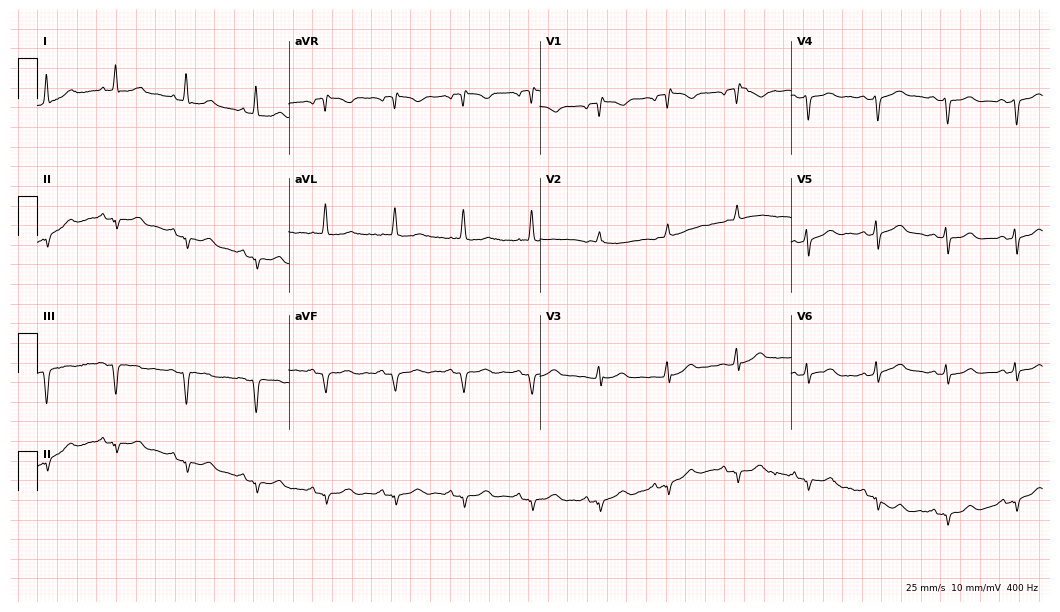
Resting 12-lead electrocardiogram. Patient: a 65-year-old female. None of these six findings is recorded: first-degree AV block, right bundle branch block, left bundle branch block, sinus bradycardia, atrial fibrillation, sinus tachycardia.